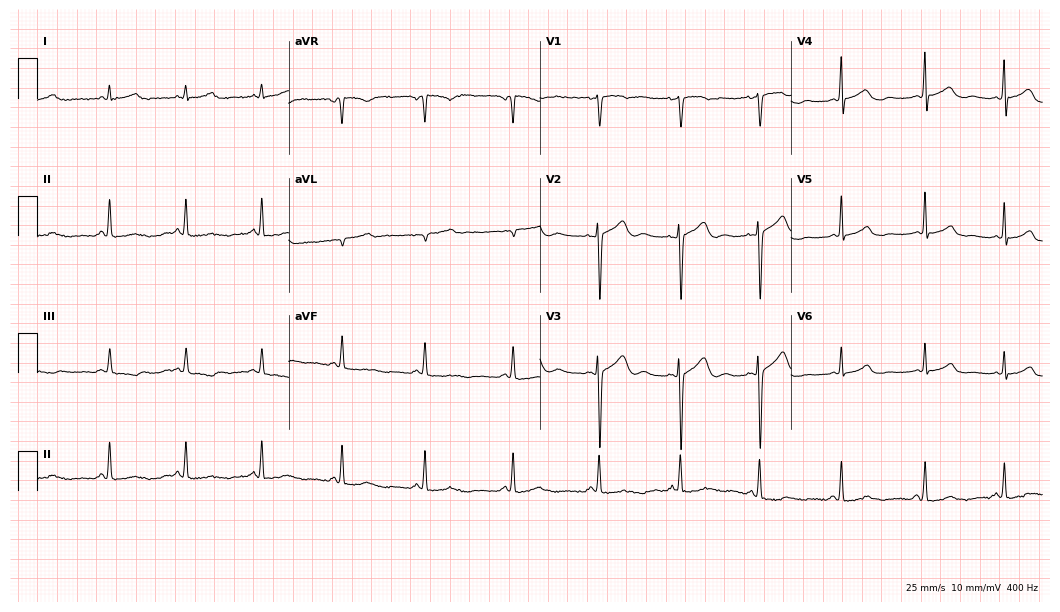
Resting 12-lead electrocardiogram (10.2-second recording at 400 Hz). Patient: a female, 36 years old. None of these six findings is recorded: first-degree AV block, right bundle branch block, left bundle branch block, sinus bradycardia, atrial fibrillation, sinus tachycardia.